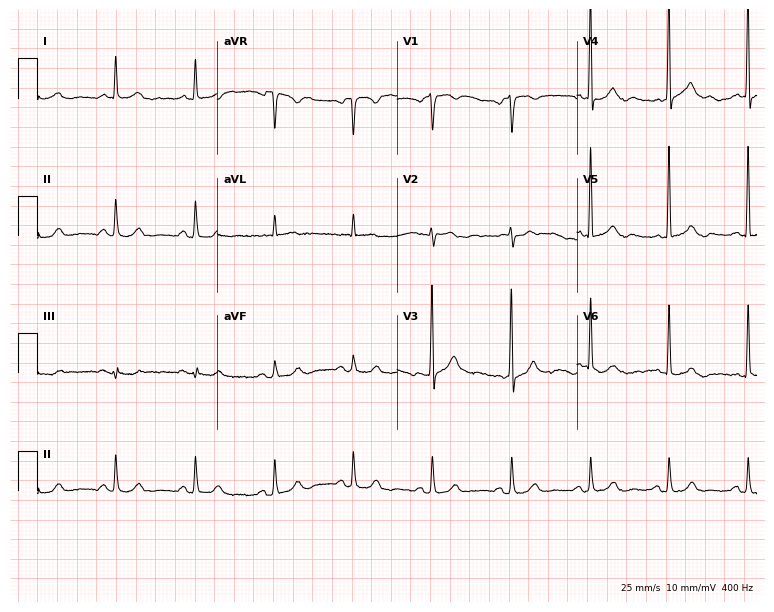
12-lead ECG (7.3-second recording at 400 Hz) from a 74-year-old man. Labelled as a normal ECG.